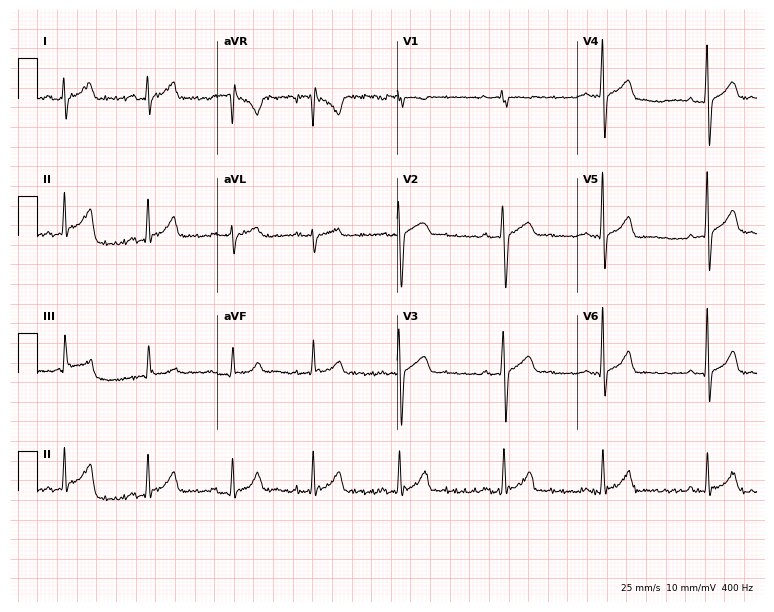
12-lead ECG from a 39-year-old woman (7.3-second recording at 400 Hz). Recorded interpretation: within normal limits.